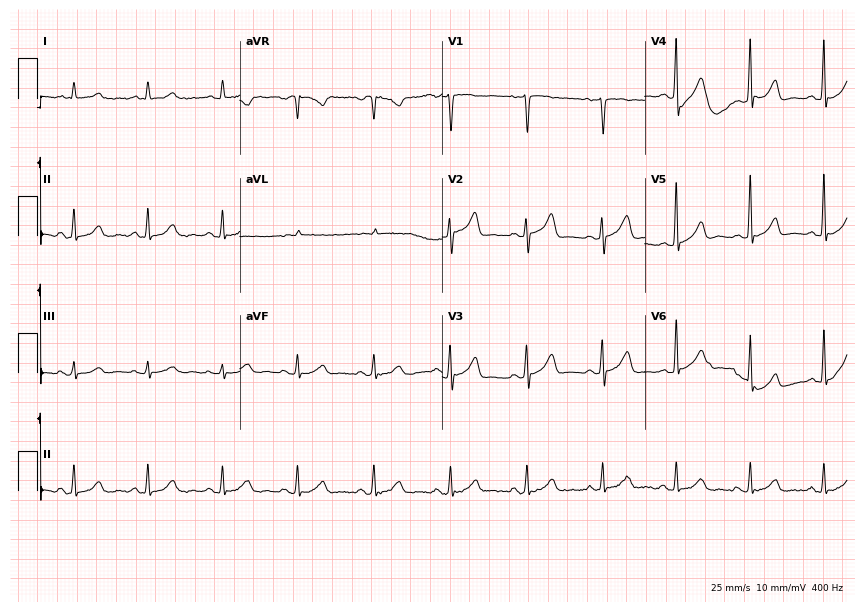
Standard 12-lead ECG recorded from a 63-year-old woman (8.3-second recording at 400 Hz). Read as a normal ECG.